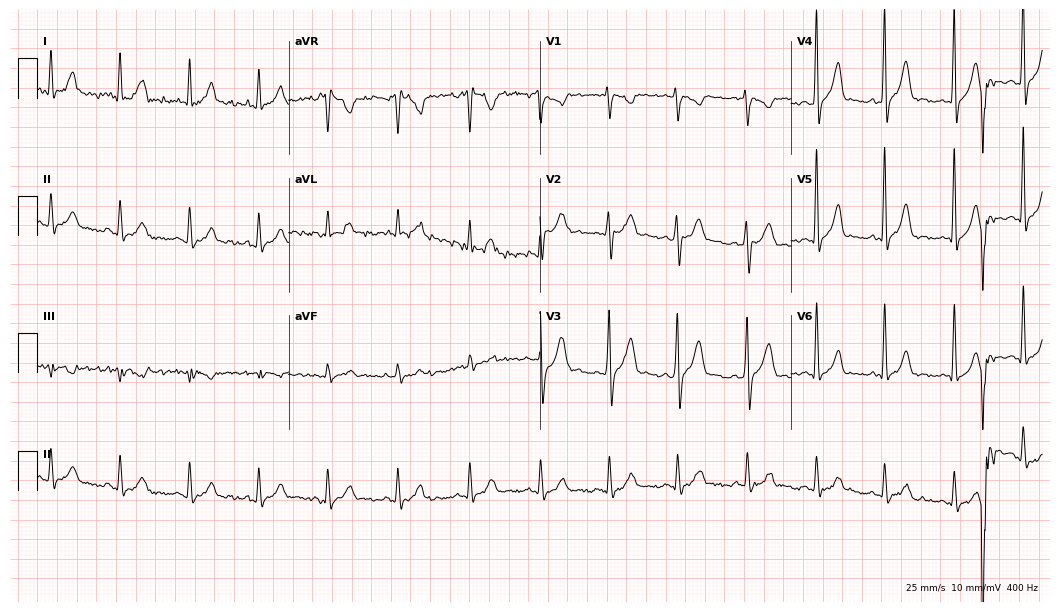
Resting 12-lead electrocardiogram. Patient: a 29-year-old male. None of these six findings is recorded: first-degree AV block, right bundle branch block, left bundle branch block, sinus bradycardia, atrial fibrillation, sinus tachycardia.